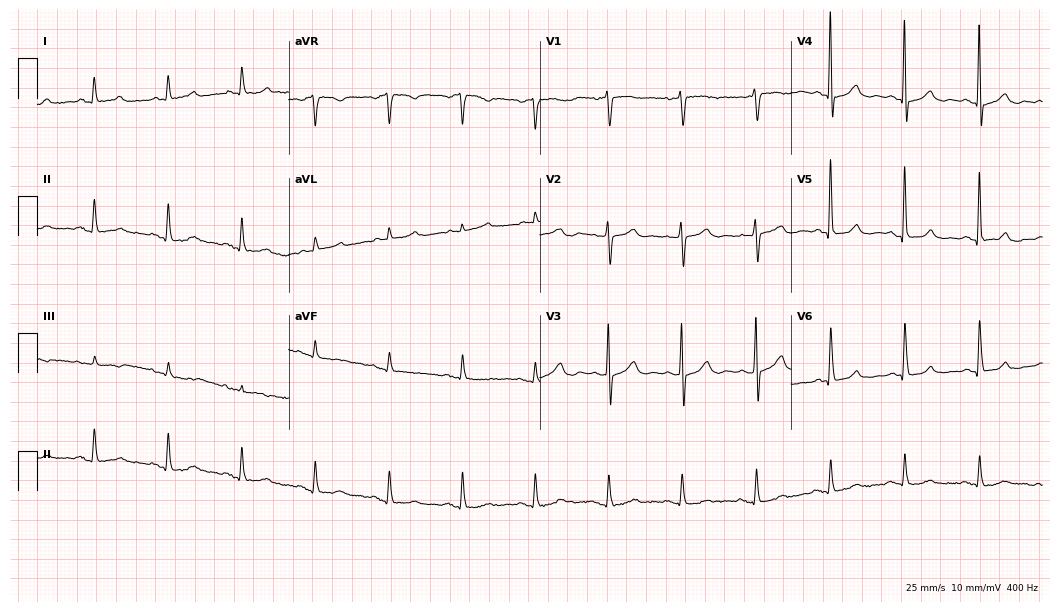
Standard 12-lead ECG recorded from a male, 83 years old (10.2-second recording at 400 Hz). None of these six findings is recorded: first-degree AV block, right bundle branch block (RBBB), left bundle branch block (LBBB), sinus bradycardia, atrial fibrillation (AF), sinus tachycardia.